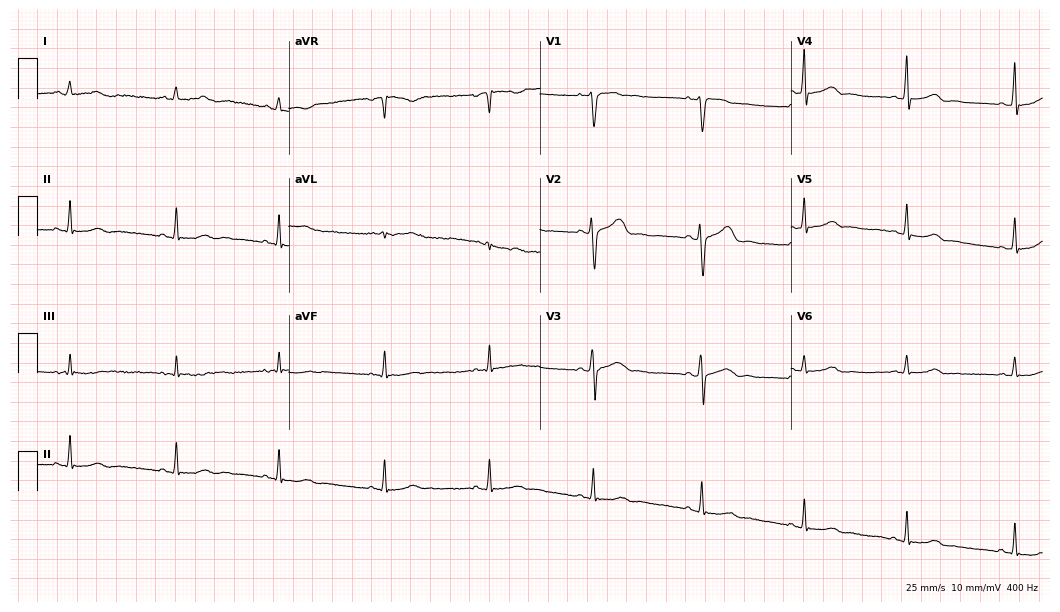
12-lead ECG from a female patient, 29 years old (10.2-second recording at 400 Hz). Recorded interpretation: within normal limits.